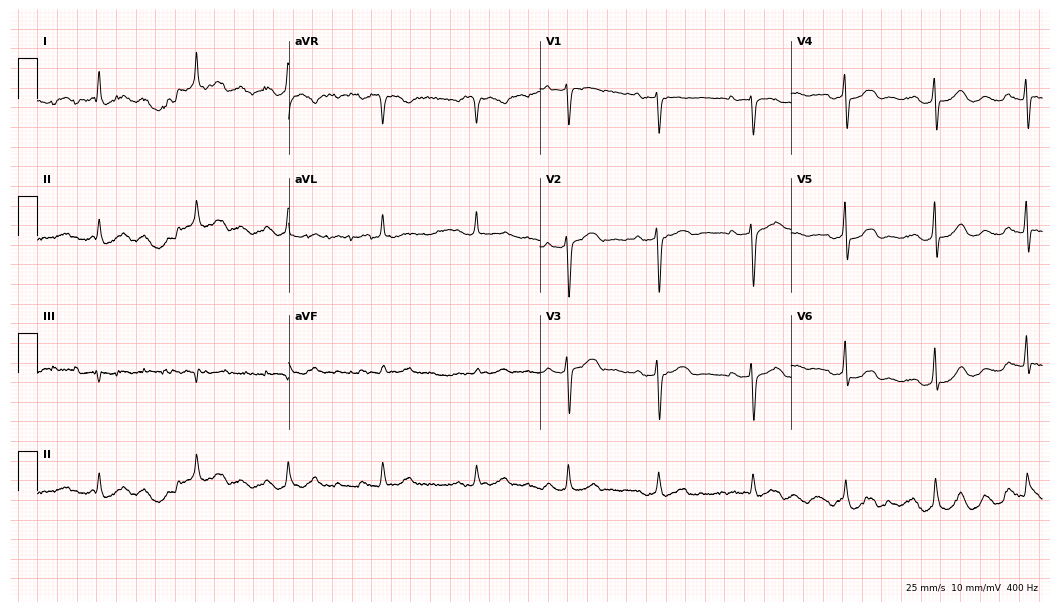
ECG — a 75-year-old female patient. Screened for six findings — first-degree AV block, right bundle branch block, left bundle branch block, sinus bradycardia, atrial fibrillation, sinus tachycardia — none is recorded. Findings outside these six are not listed.